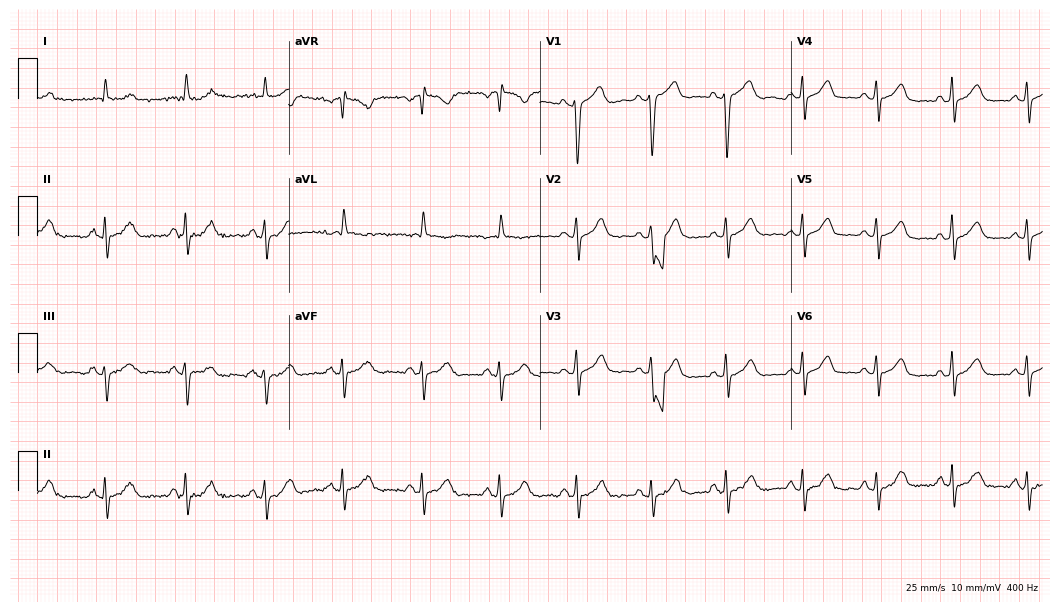
12-lead ECG from a male, 56 years old (10.2-second recording at 400 Hz). No first-degree AV block, right bundle branch block, left bundle branch block, sinus bradycardia, atrial fibrillation or sinus tachycardia recorded for this tracing.